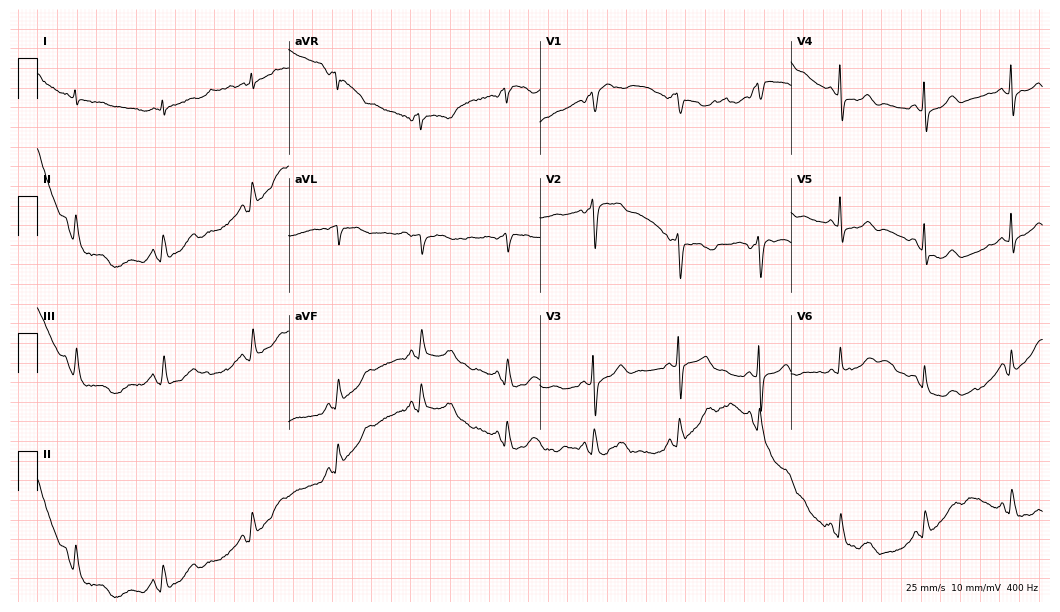
Electrocardiogram, a 49-year-old female. Overall reading on record: normal ECG.